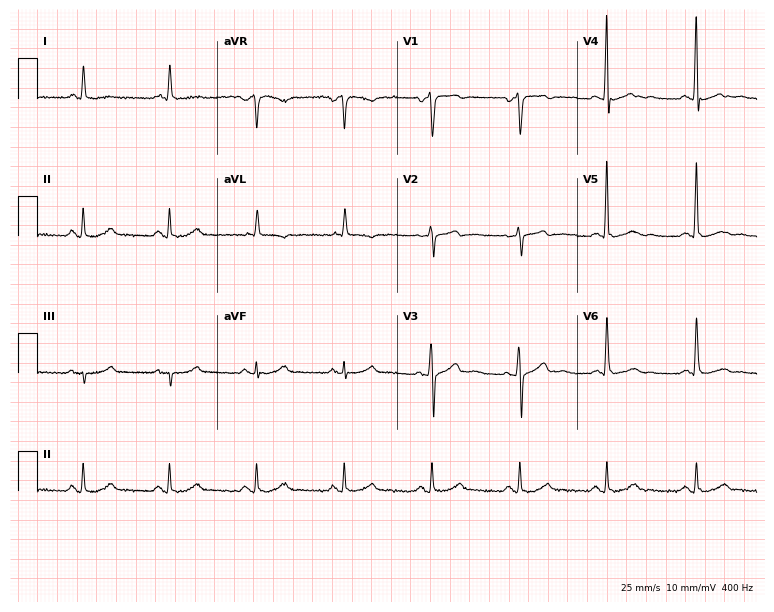
Standard 12-lead ECG recorded from a male patient, 60 years old (7.3-second recording at 400 Hz). None of these six findings is recorded: first-degree AV block, right bundle branch block (RBBB), left bundle branch block (LBBB), sinus bradycardia, atrial fibrillation (AF), sinus tachycardia.